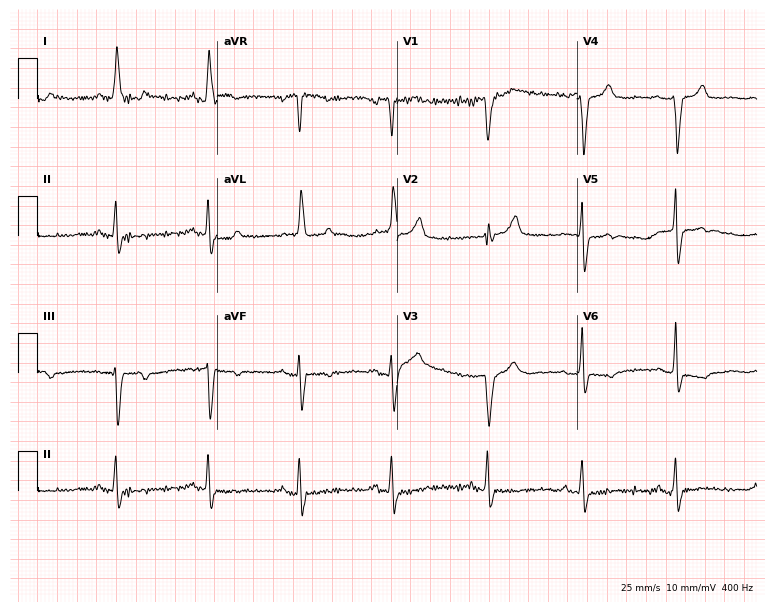
Standard 12-lead ECG recorded from a male patient, 53 years old (7.3-second recording at 400 Hz). The tracing shows left bundle branch block.